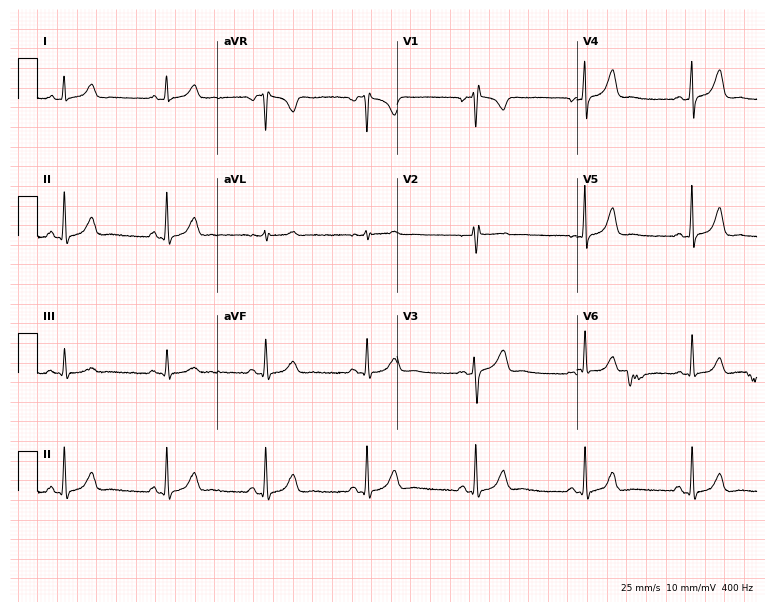
Resting 12-lead electrocardiogram. Patient: a female, 26 years old. Read as a normal ECG.